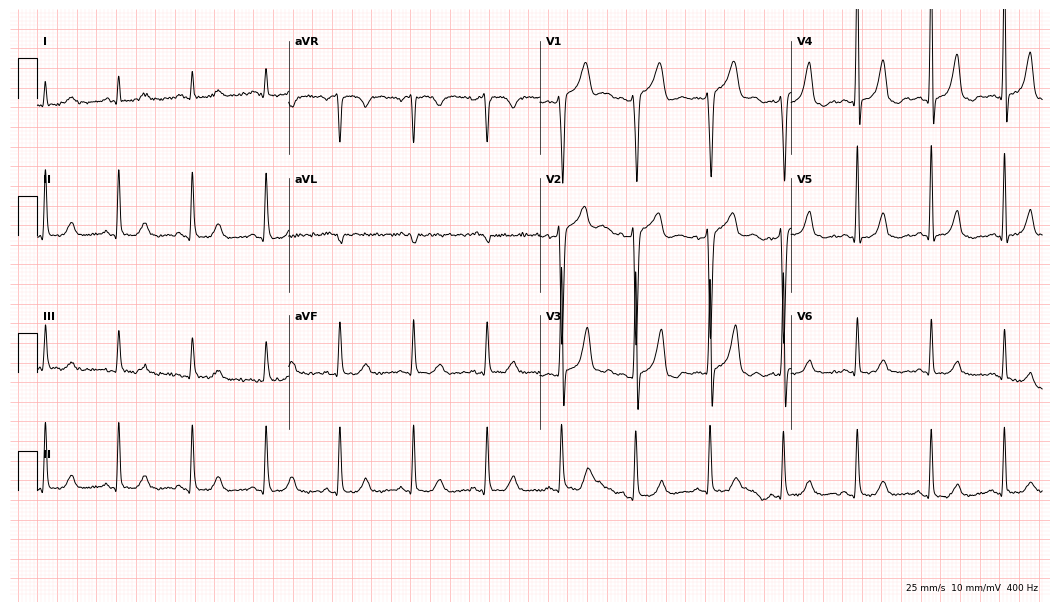
Electrocardiogram, a man, 54 years old. Of the six screened findings (first-degree AV block, right bundle branch block, left bundle branch block, sinus bradycardia, atrial fibrillation, sinus tachycardia), none is recorded.